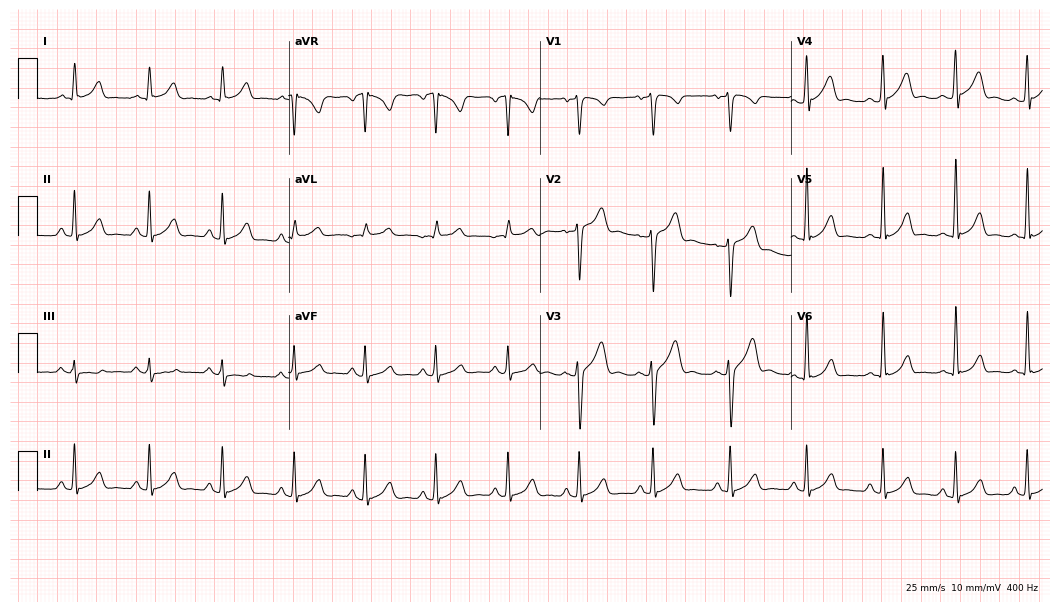
Resting 12-lead electrocardiogram (10.2-second recording at 400 Hz). Patient: a male, 31 years old. Read as a normal ECG.